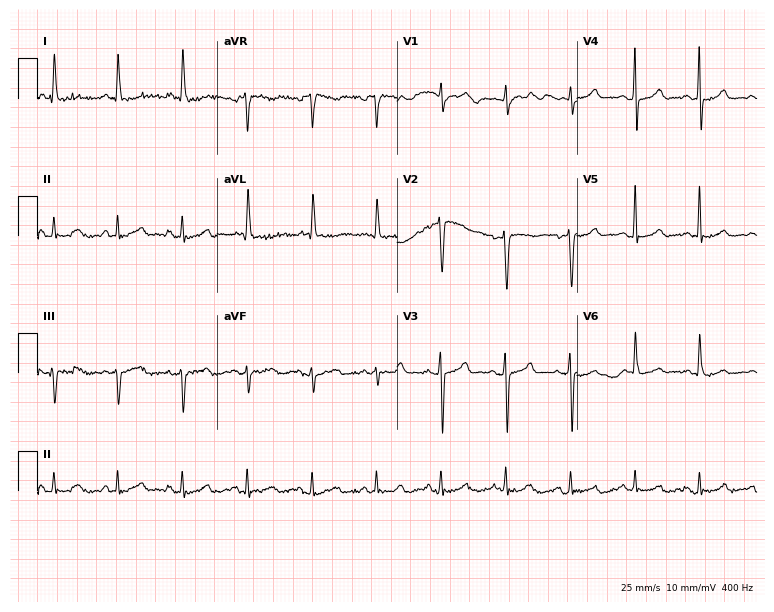
12-lead ECG from a 67-year-old female patient. Screened for six findings — first-degree AV block, right bundle branch block, left bundle branch block, sinus bradycardia, atrial fibrillation, sinus tachycardia — none is recorded. Findings outside these six are not listed.